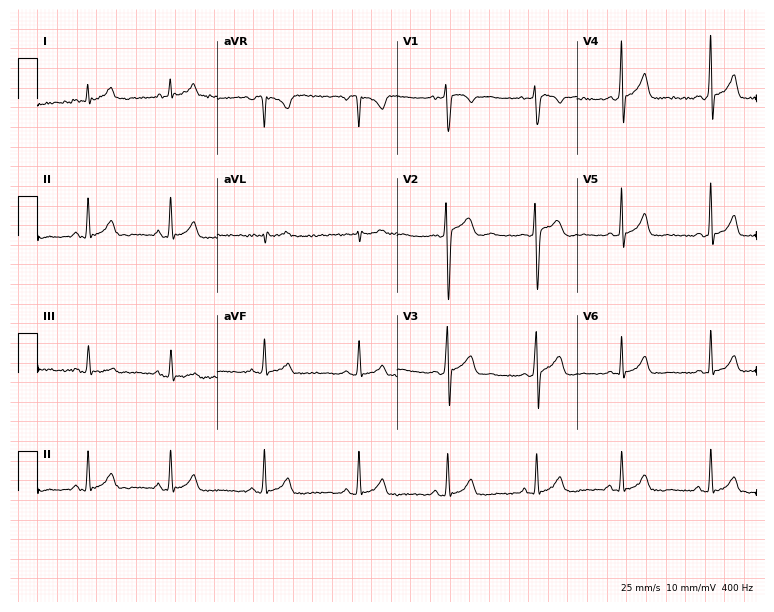
12-lead ECG (7.3-second recording at 400 Hz) from a male patient, 21 years old. Screened for six findings — first-degree AV block, right bundle branch block (RBBB), left bundle branch block (LBBB), sinus bradycardia, atrial fibrillation (AF), sinus tachycardia — none is recorded. Only these six findings were labelled.